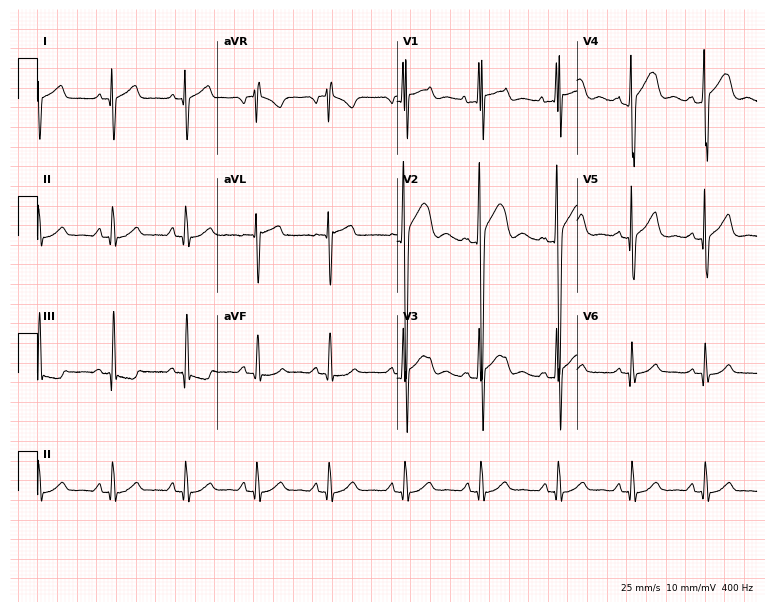
12-lead ECG from a 23-year-old male patient. No first-degree AV block, right bundle branch block (RBBB), left bundle branch block (LBBB), sinus bradycardia, atrial fibrillation (AF) or sinus tachycardia recorded for this tracing.